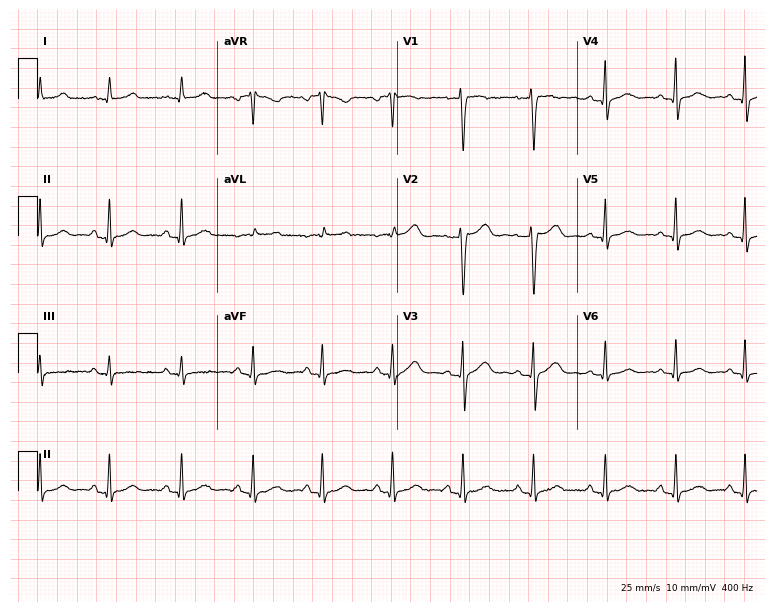
12-lead ECG from a 37-year-old female patient. Recorded interpretation: within normal limits.